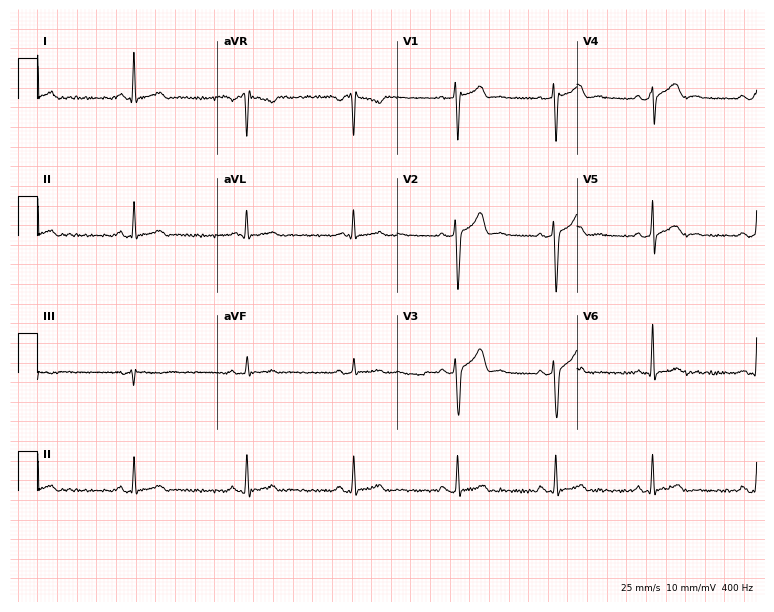
12-lead ECG from a man, 24 years old. Labelled as a normal ECG.